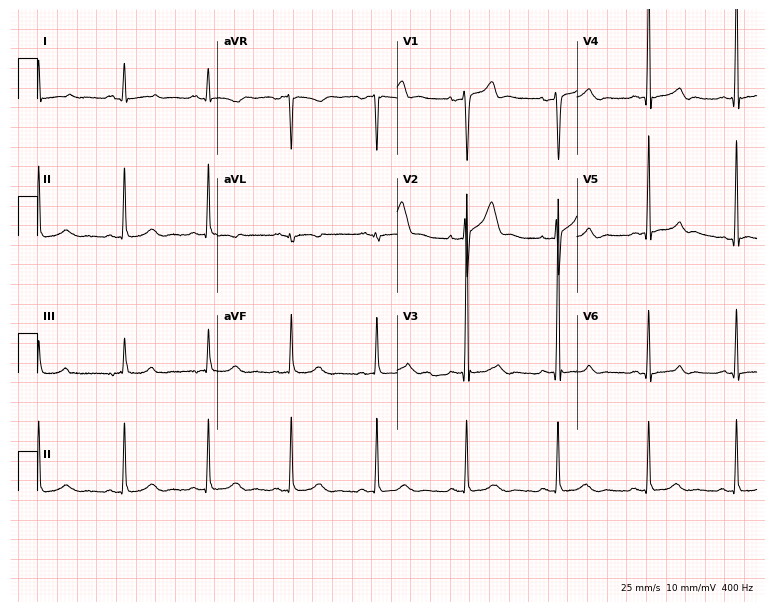
12-lead ECG from a male patient, 34 years old. No first-degree AV block, right bundle branch block, left bundle branch block, sinus bradycardia, atrial fibrillation or sinus tachycardia recorded for this tracing.